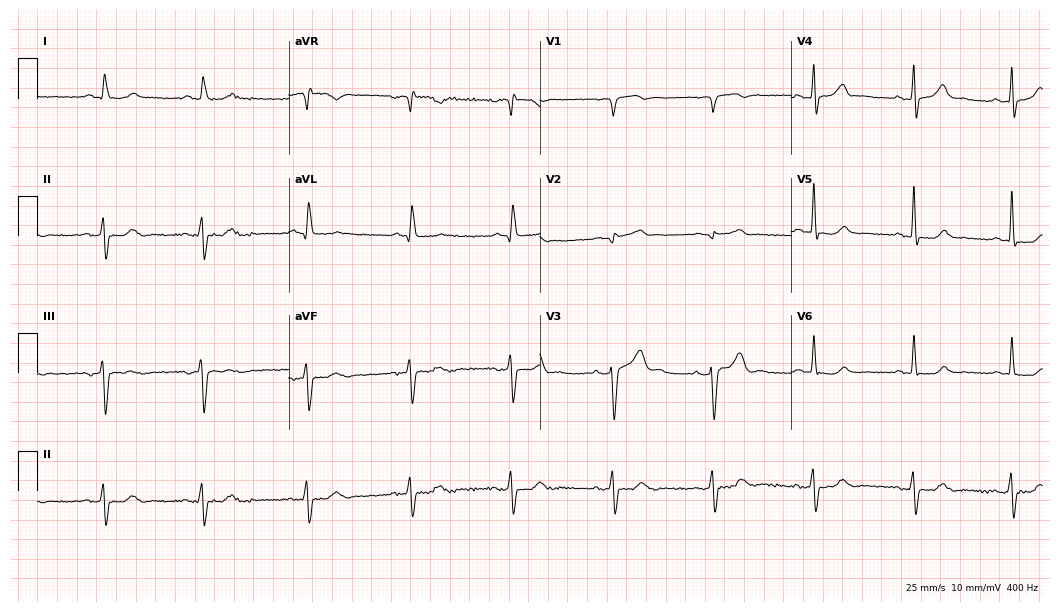
Resting 12-lead electrocardiogram. Patient: an 82-year-old man. None of these six findings is recorded: first-degree AV block, right bundle branch block, left bundle branch block, sinus bradycardia, atrial fibrillation, sinus tachycardia. Other findings, if any, are not listed.